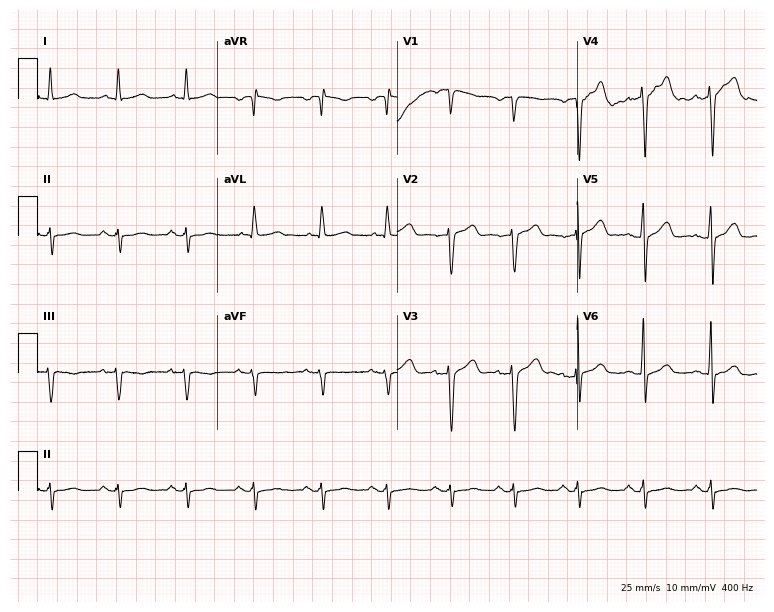
Electrocardiogram, a male patient, 60 years old. Of the six screened findings (first-degree AV block, right bundle branch block, left bundle branch block, sinus bradycardia, atrial fibrillation, sinus tachycardia), none is recorded. Findings outside these six are not listed.